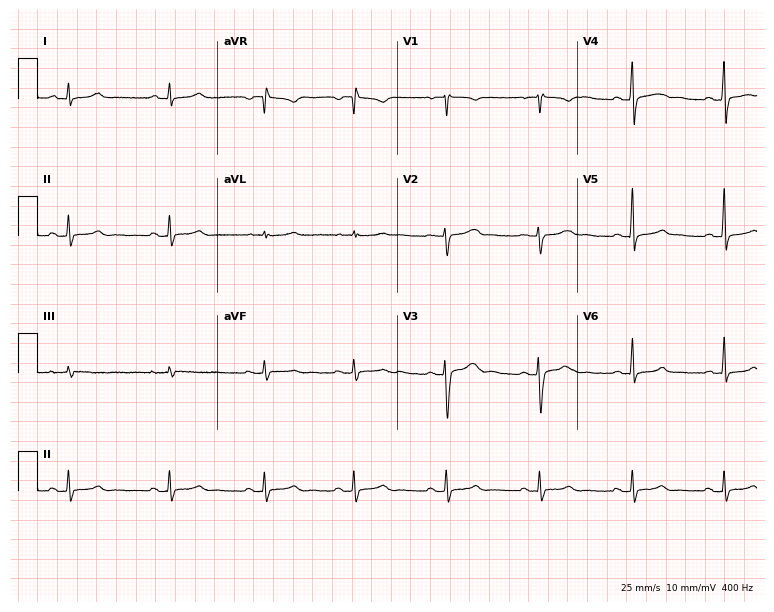
Electrocardiogram, a female, 29 years old. Of the six screened findings (first-degree AV block, right bundle branch block, left bundle branch block, sinus bradycardia, atrial fibrillation, sinus tachycardia), none is recorded. Only these six findings were labelled.